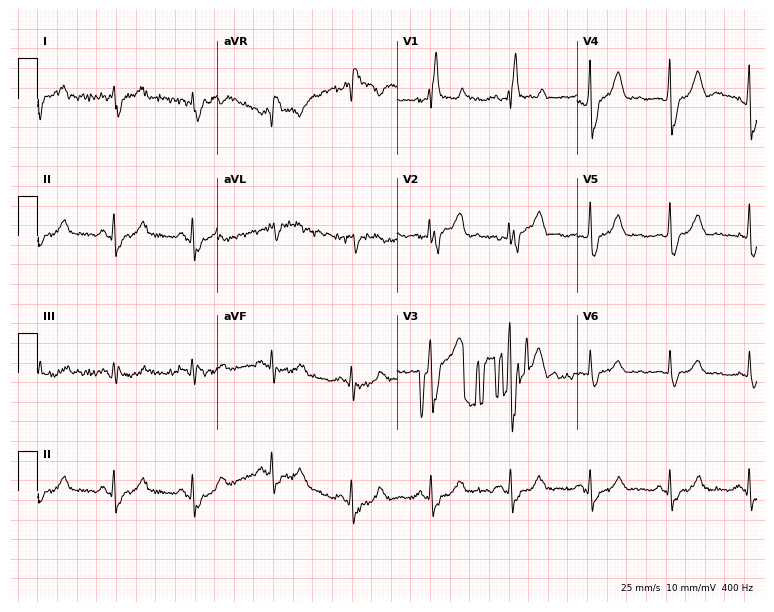
Electrocardiogram, a 46-year-old male. Of the six screened findings (first-degree AV block, right bundle branch block, left bundle branch block, sinus bradycardia, atrial fibrillation, sinus tachycardia), none is recorded.